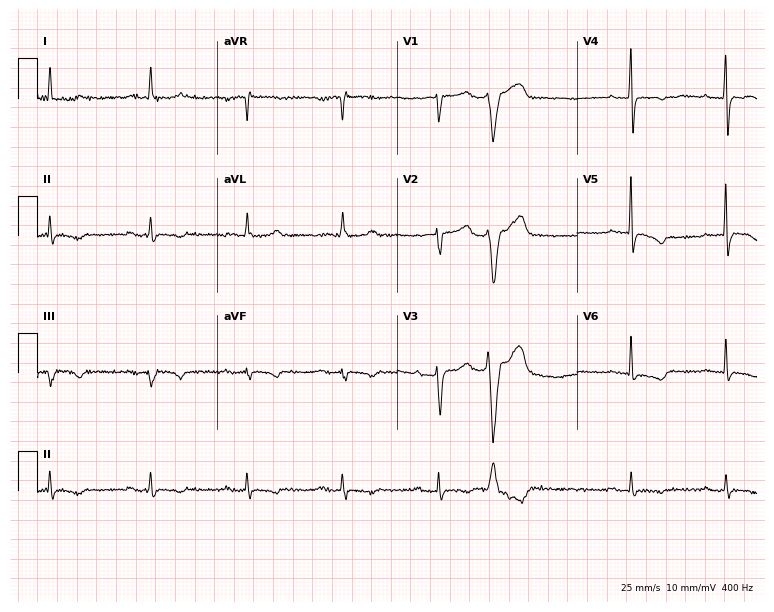
12-lead ECG from an 83-year-old woman (7.3-second recording at 400 Hz). No first-degree AV block, right bundle branch block (RBBB), left bundle branch block (LBBB), sinus bradycardia, atrial fibrillation (AF) or sinus tachycardia recorded for this tracing. Findings outside these six are not listed.